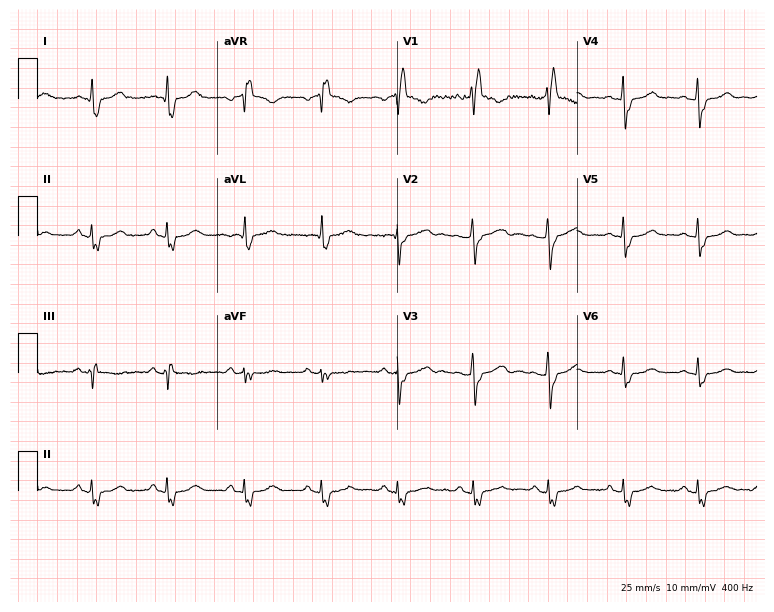
12-lead ECG from a 45-year-old female patient (7.3-second recording at 400 Hz). Shows right bundle branch block (RBBB).